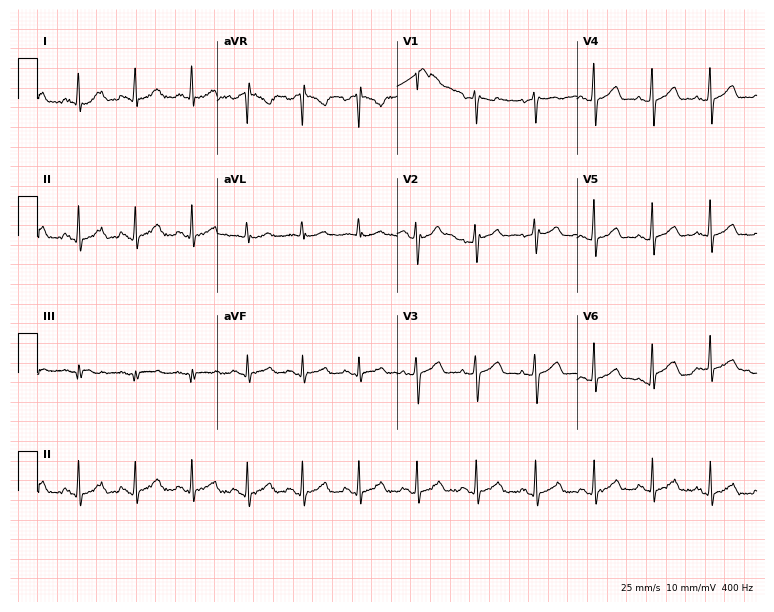
Resting 12-lead electrocardiogram. Patient: a female, 48 years old. The tracing shows sinus tachycardia (a sinus rate of 100 beats per minute or more).